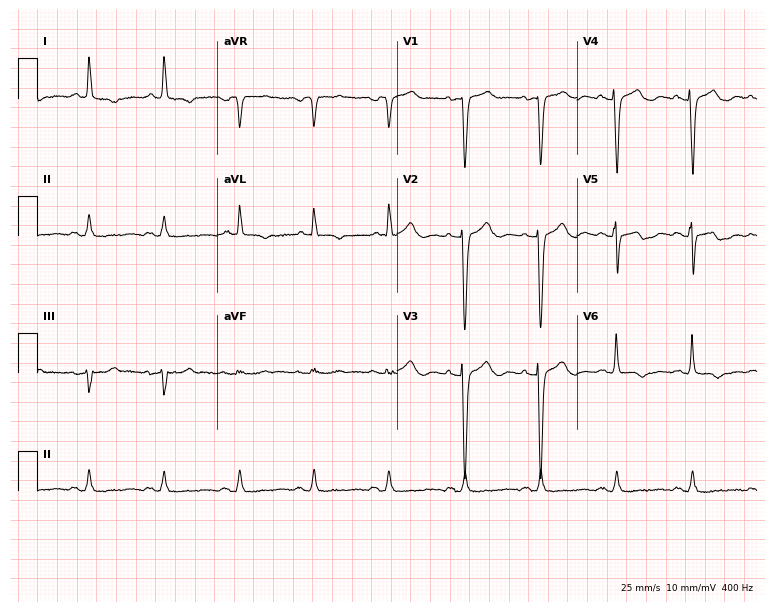
Standard 12-lead ECG recorded from a 78-year-old male. None of these six findings is recorded: first-degree AV block, right bundle branch block, left bundle branch block, sinus bradycardia, atrial fibrillation, sinus tachycardia. Findings outside these six are not listed.